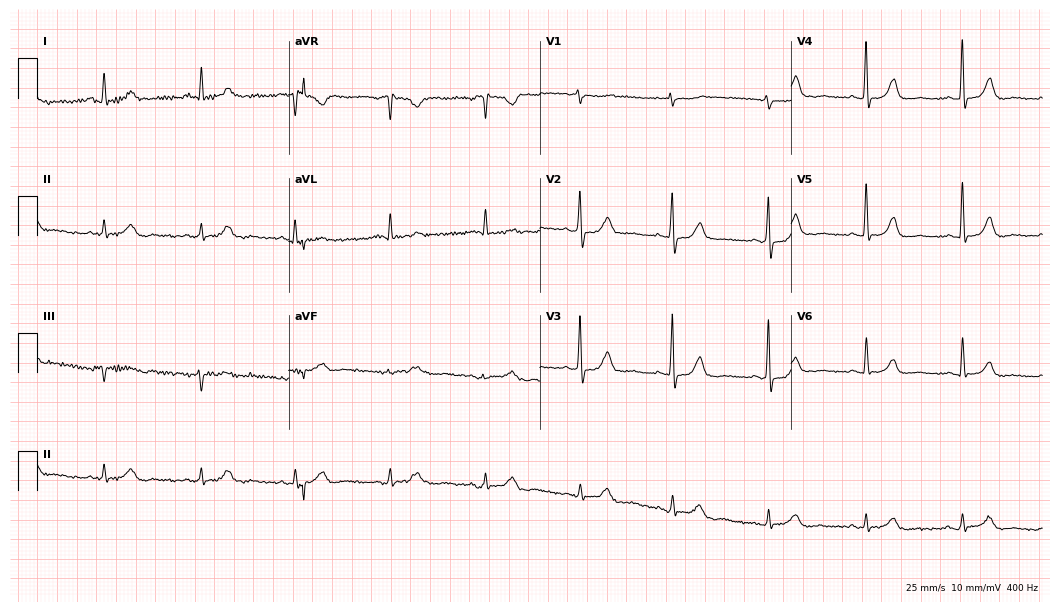
ECG (10.2-second recording at 400 Hz) — a woman, 72 years old. Labelled as a normal ECG.